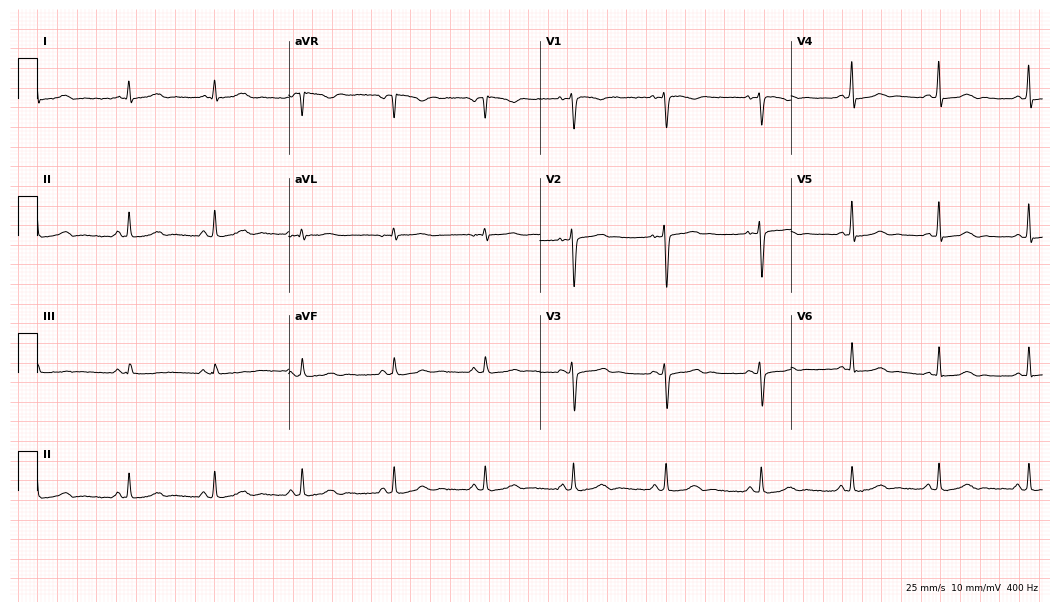
Resting 12-lead electrocardiogram (10.2-second recording at 400 Hz). Patient: a 35-year-old female. None of these six findings is recorded: first-degree AV block, right bundle branch block, left bundle branch block, sinus bradycardia, atrial fibrillation, sinus tachycardia. Findings outside these six are not listed.